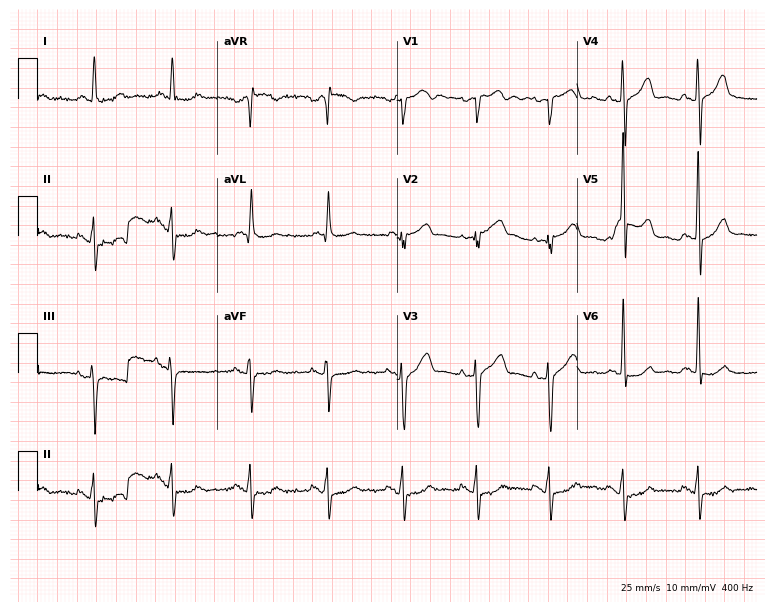
Electrocardiogram, a male patient, 45 years old. Of the six screened findings (first-degree AV block, right bundle branch block (RBBB), left bundle branch block (LBBB), sinus bradycardia, atrial fibrillation (AF), sinus tachycardia), none is recorded. Other findings, if any, are not listed.